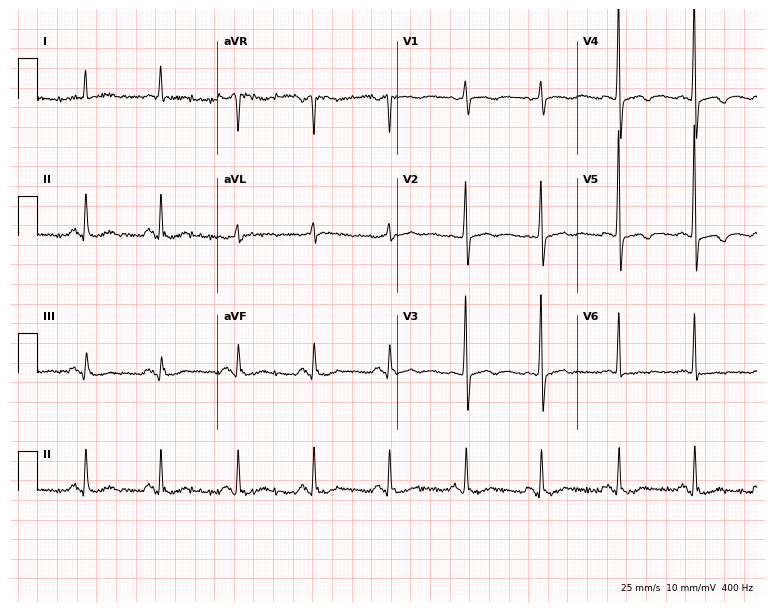
Standard 12-lead ECG recorded from a woman, 75 years old. None of these six findings is recorded: first-degree AV block, right bundle branch block, left bundle branch block, sinus bradycardia, atrial fibrillation, sinus tachycardia.